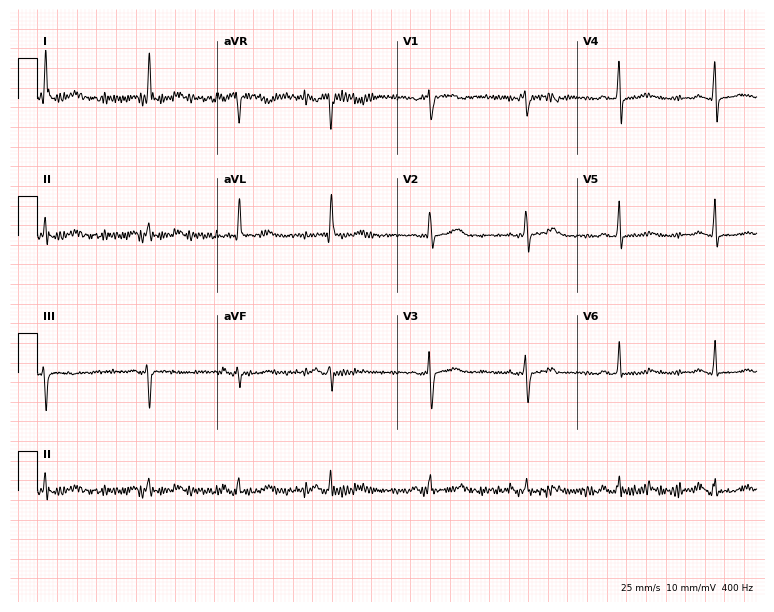
Resting 12-lead electrocardiogram (7.3-second recording at 400 Hz). Patient: a female, 72 years old. None of these six findings is recorded: first-degree AV block, right bundle branch block, left bundle branch block, sinus bradycardia, atrial fibrillation, sinus tachycardia.